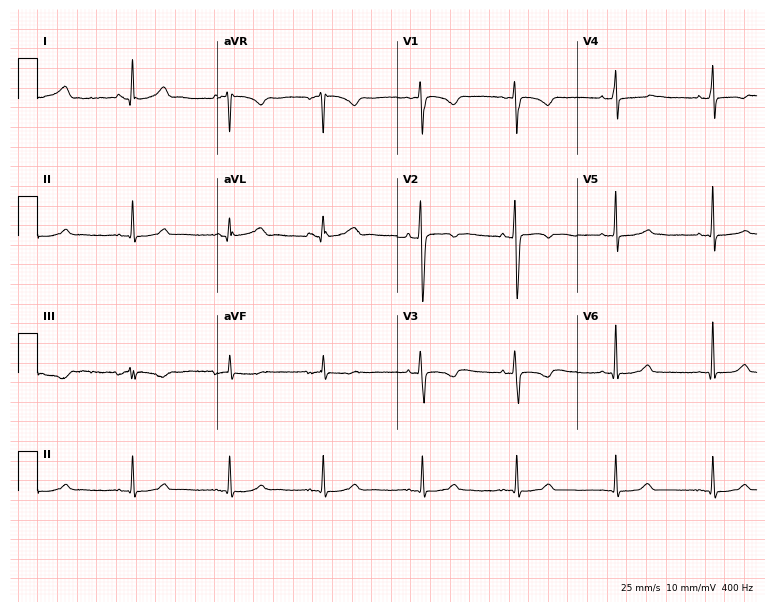
ECG — a 27-year-old female patient. Screened for six findings — first-degree AV block, right bundle branch block, left bundle branch block, sinus bradycardia, atrial fibrillation, sinus tachycardia — none is recorded.